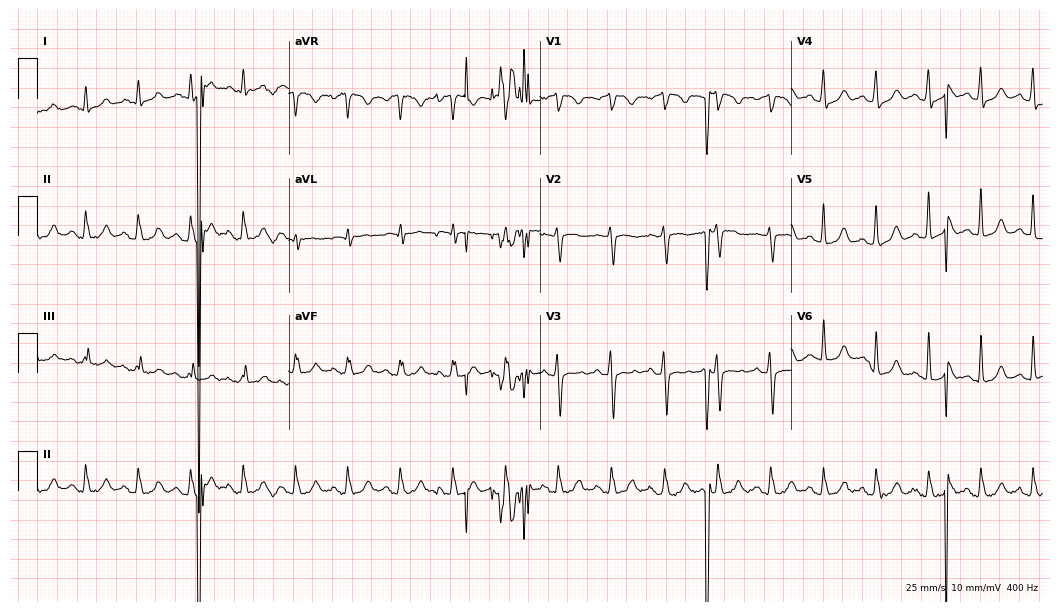
12-lead ECG from a woman, 61 years old (10.2-second recording at 400 Hz). No first-degree AV block, right bundle branch block, left bundle branch block, sinus bradycardia, atrial fibrillation or sinus tachycardia recorded for this tracing. Other findings, if any, are not listed.